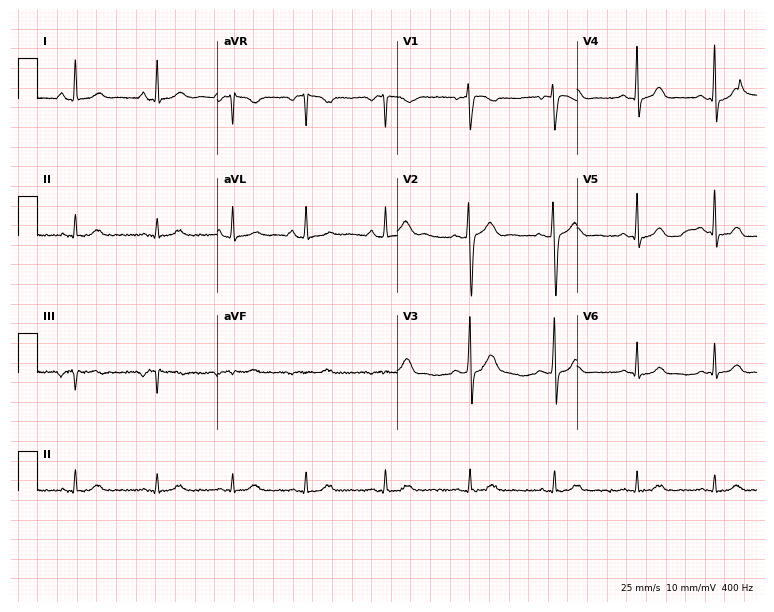
ECG — a female, 29 years old. Labelled as a normal ECG.